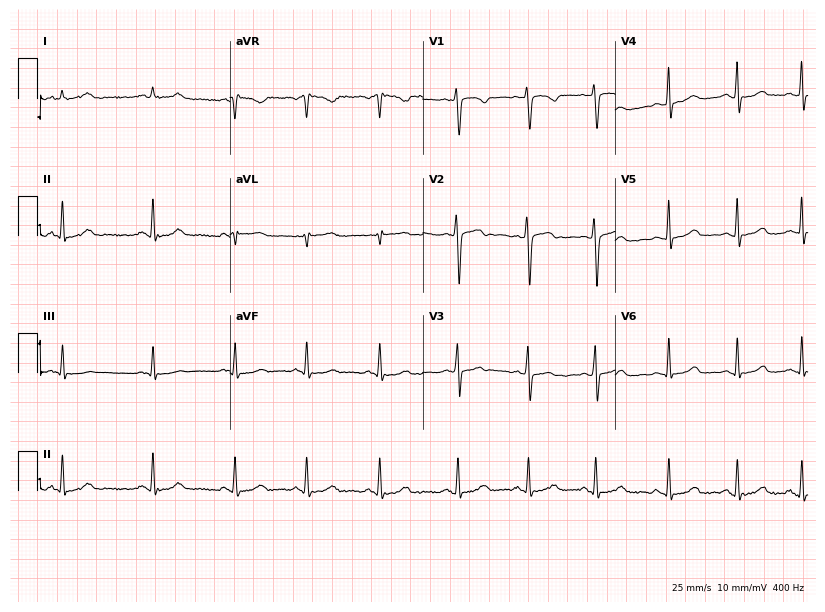
12-lead ECG from a woman, 21 years old (7.9-second recording at 400 Hz). No first-degree AV block, right bundle branch block, left bundle branch block, sinus bradycardia, atrial fibrillation or sinus tachycardia recorded for this tracing.